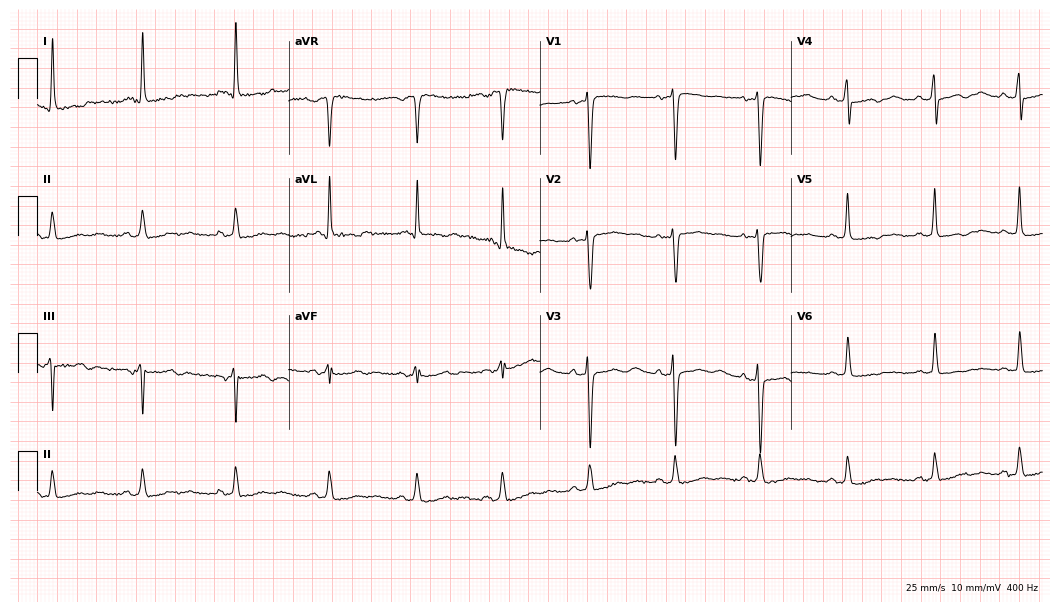
Electrocardiogram, a 70-year-old female. Of the six screened findings (first-degree AV block, right bundle branch block, left bundle branch block, sinus bradycardia, atrial fibrillation, sinus tachycardia), none is recorded.